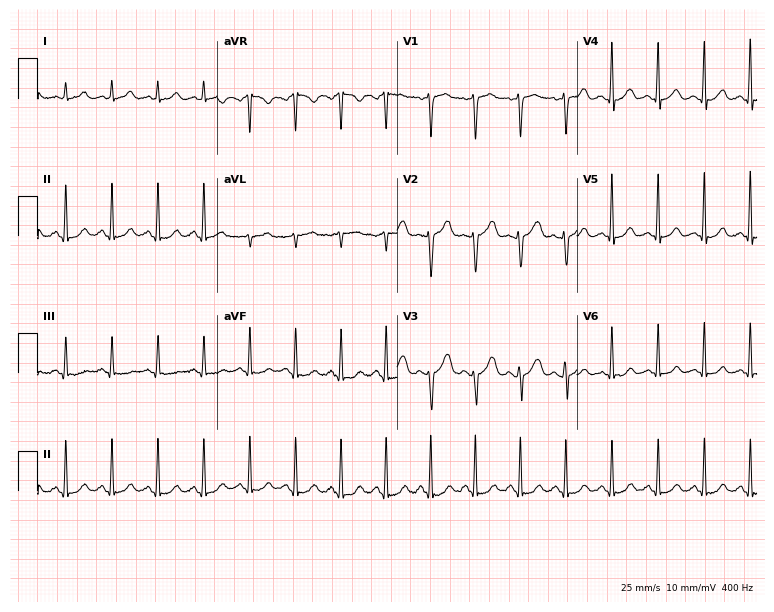
12-lead ECG from a 33-year-old female (7.3-second recording at 400 Hz). No first-degree AV block, right bundle branch block (RBBB), left bundle branch block (LBBB), sinus bradycardia, atrial fibrillation (AF) or sinus tachycardia recorded for this tracing.